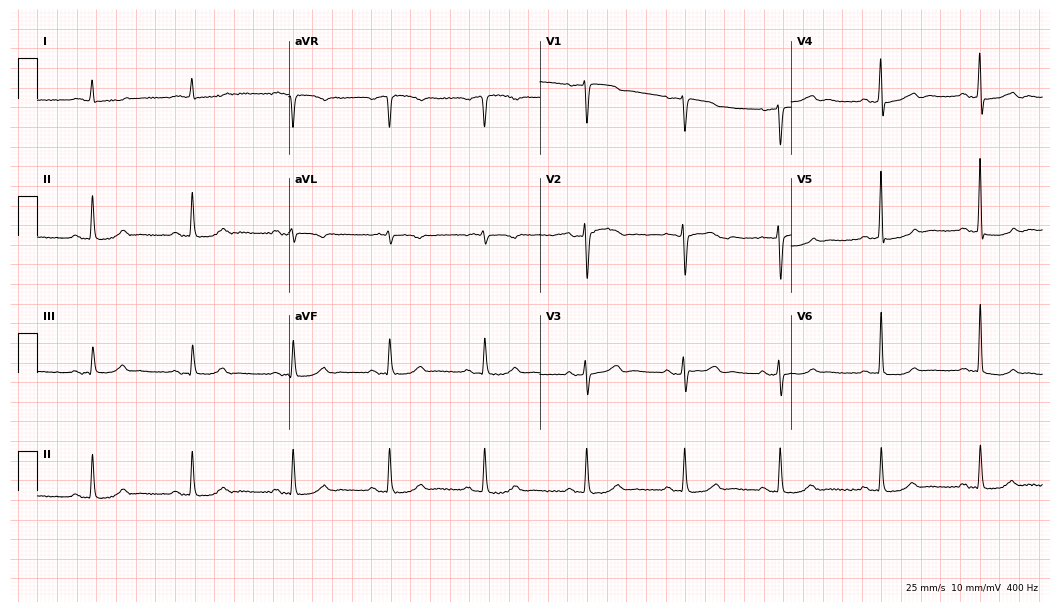
12-lead ECG (10.2-second recording at 400 Hz) from an 84-year-old woman. Screened for six findings — first-degree AV block, right bundle branch block, left bundle branch block, sinus bradycardia, atrial fibrillation, sinus tachycardia — none is recorded. Other findings, if any, are not listed.